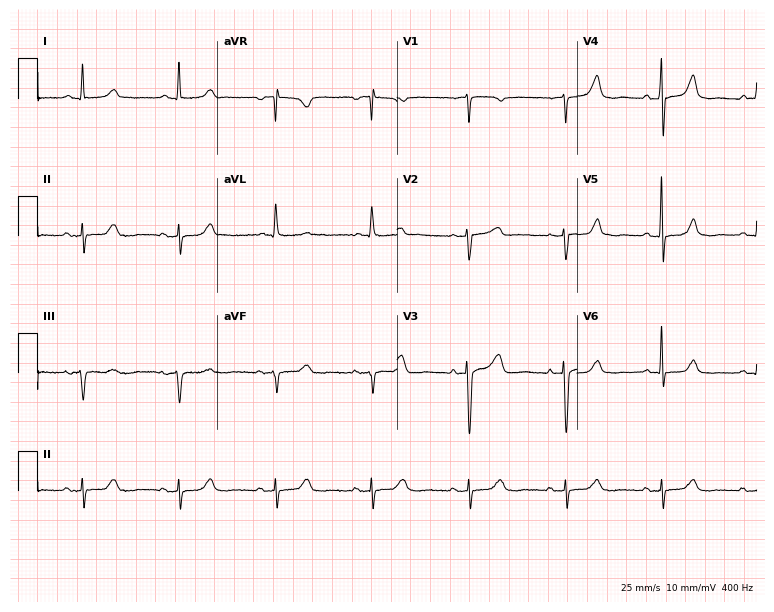
Electrocardiogram (7.3-second recording at 400 Hz), an 81-year-old female. Of the six screened findings (first-degree AV block, right bundle branch block (RBBB), left bundle branch block (LBBB), sinus bradycardia, atrial fibrillation (AF), sinus tachycardia), none is recorded.